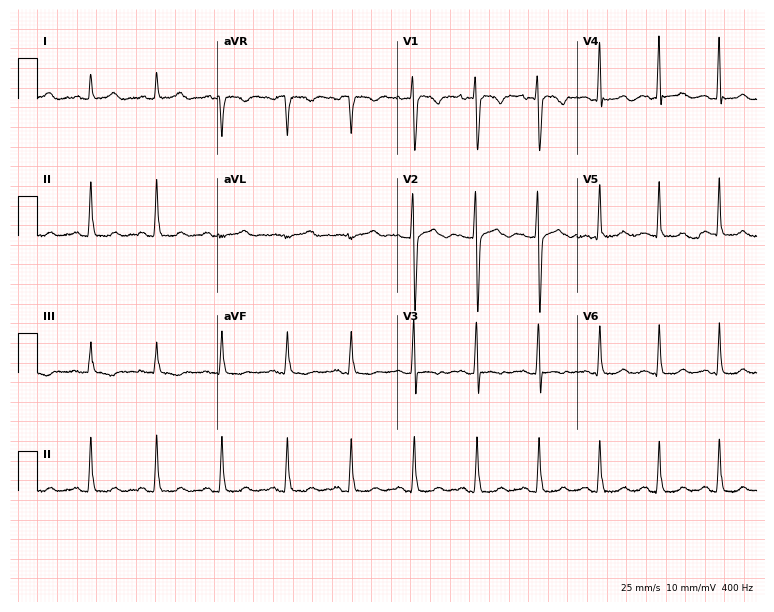
ECG — a 24-year-old woman. Screened for six findings — first-degree AV block, right bundle branch block, left bundle branch block, sinus bradycardia, atrial fibrillation, sinus tachycardia — none is recorded.